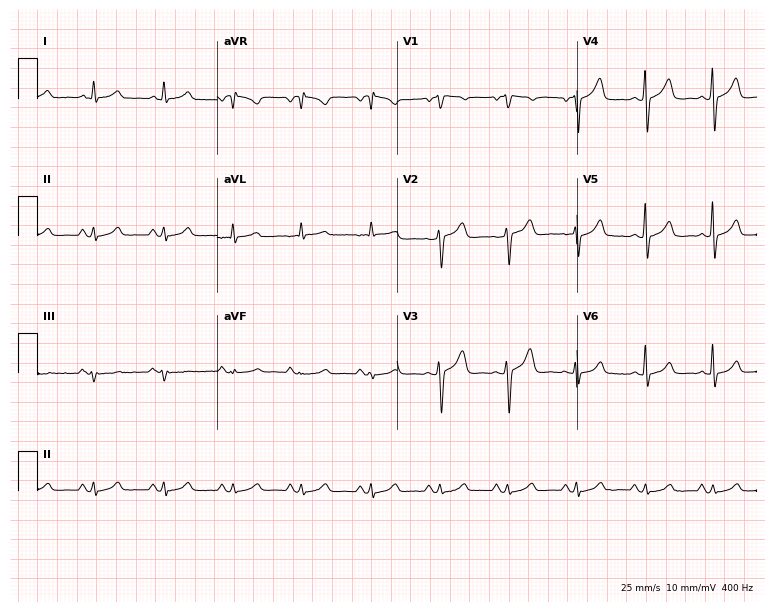
Electrocardiogram, a 68-year-old male patient. Of the six screened findings (first-degree AV block, right bundle branch block, left bundle branch block, sinus bradycardia, atrial fibrillation, sinus tachycardia), none is recorded. Other findings, if any, are not listed.